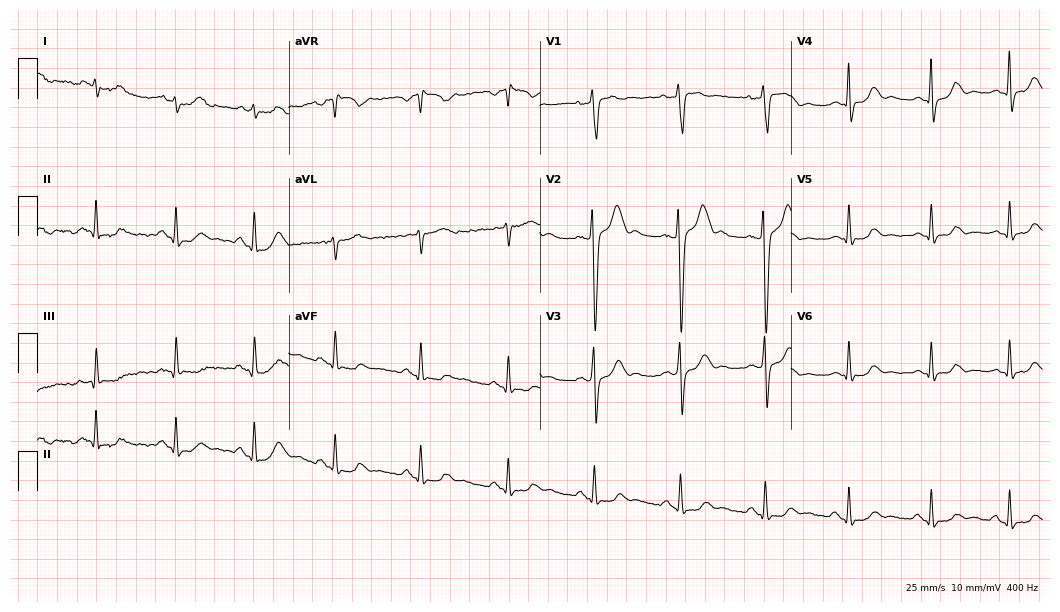
12-lead ECG from a male patient, 43 years old (10.2-second recording at 400 Hz). No first-degree AV block, right bundle branch block (RBBB), left bundle branch block (LBBB), sinus bradycardia, atrial fibrillation (AF) or sinus tachycardia recorded for this tracing. Other findings, if any, are not listed.